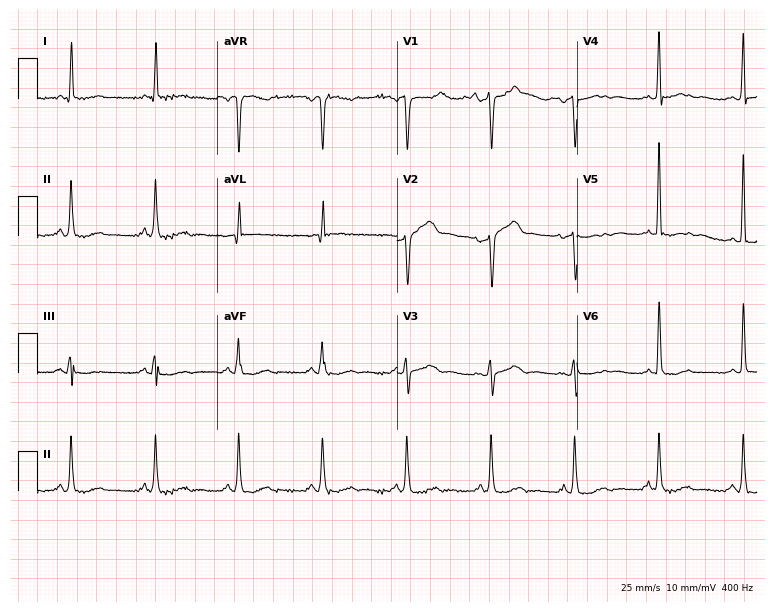
Resting 12-lead electrocardiogram. Patient: a 78-year-old woman. None of these six findings is recorded: first-degree AV block, right bundle branch block, left bundle branch block, sinus bradycardia, atrial fibrillation, sinus tachycardia.